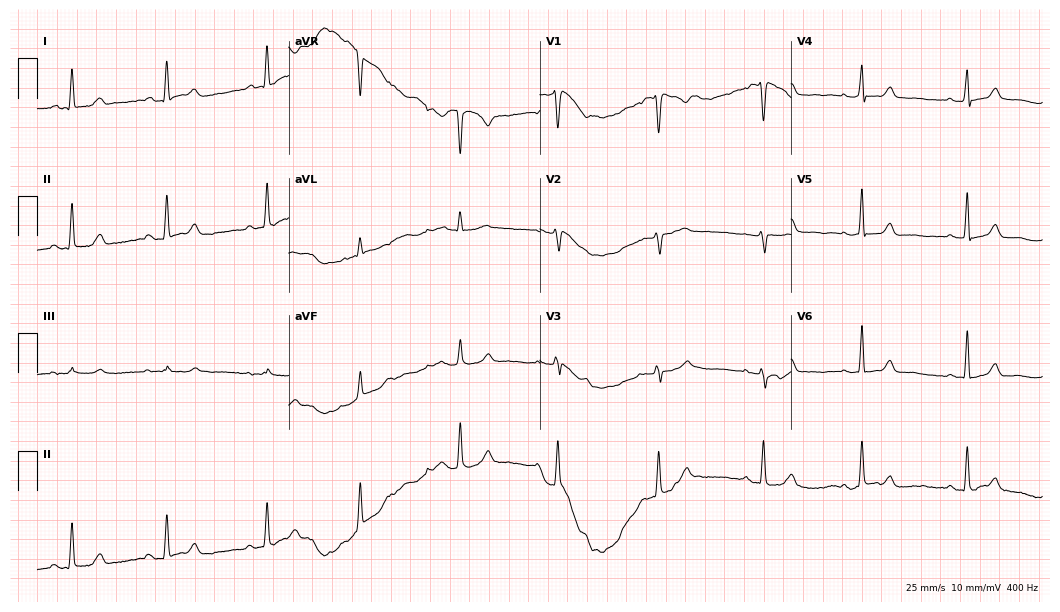
Standard 12-lead ECG recorded from a 69-year-old female patient (10.2-second recording at 400 Hz). None of these six findings is recorded: first-degree AV block, right bundle branch block, left bundle branch block, sinus bradycardia, atrial fibrillation, sinus tachycardia. Only these six findings were labelled.